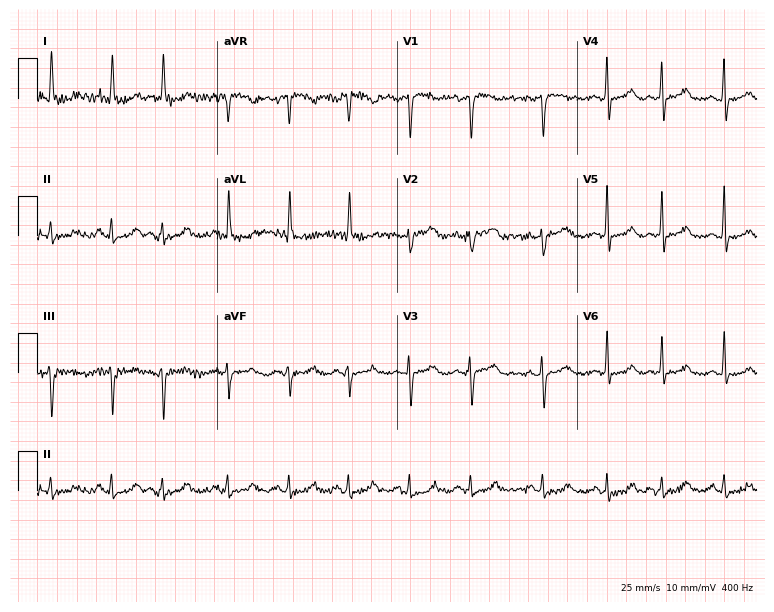
Electrocardiogram, a female patient, 75 years old. Of the six screened findings (first-degree AV block, right bundle branch block (RBBB), left bundle branch block (LBBB), sinus bradycardia, atrial fibrillation (AF), sinus tachycardia), none is recorded.